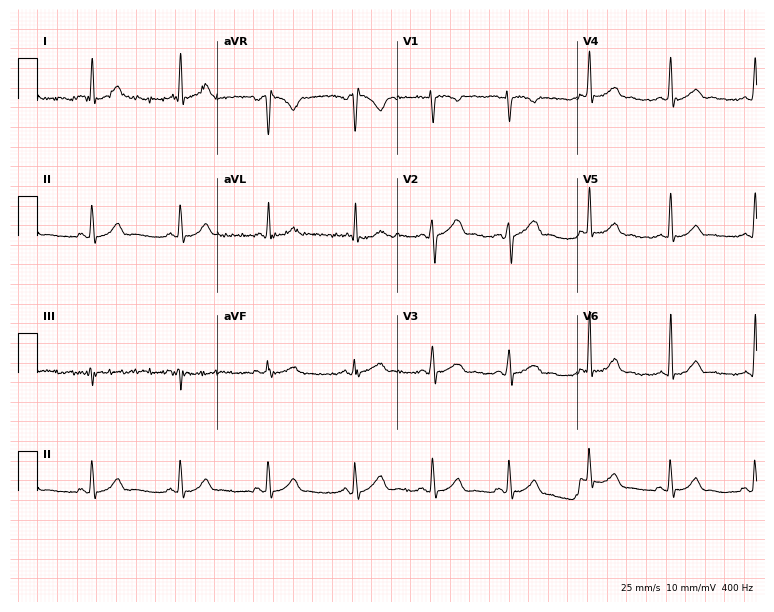
12-lead ECG from a male patient, 23 years old. Recorded interpretation: within normal limits.